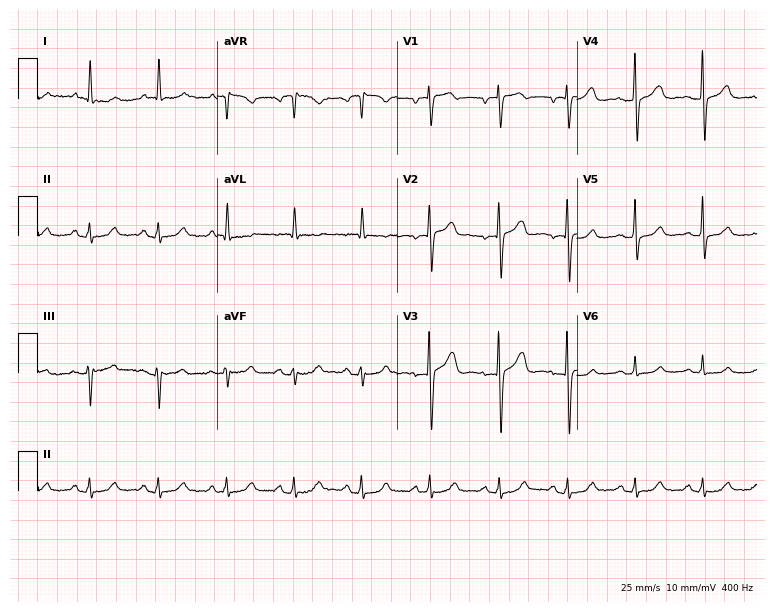
12-lead ECG (7.3-second recording at 400 Hz) from a male, 75 years old. Labelled as a normal ECG.